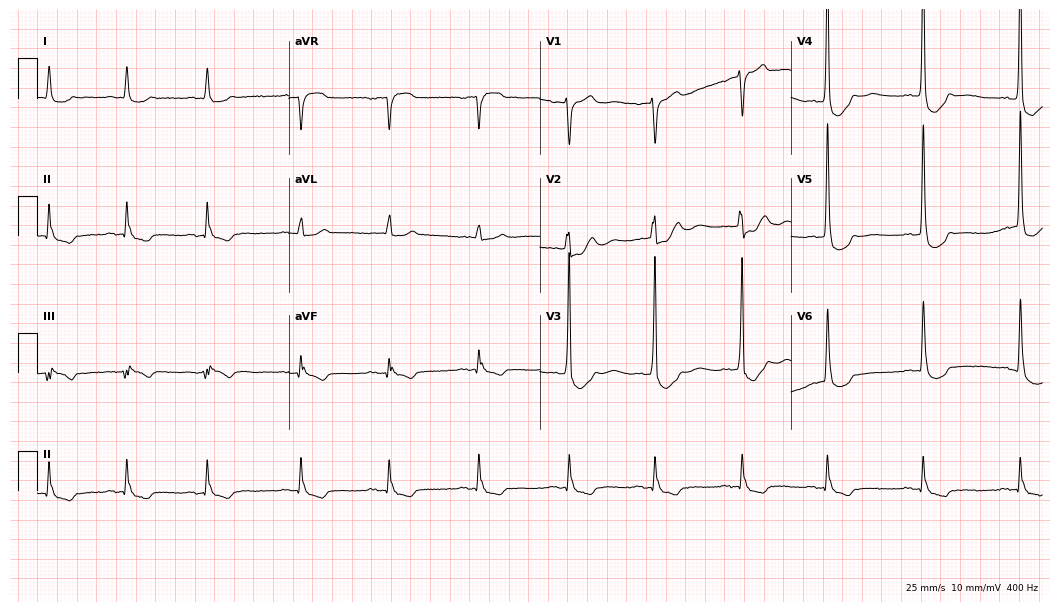
Resting 12-lead electrocardiogram (10.2-second recording at 400 Hz). Patient: an 82-year-old female. None of these six findings is recorded: first-degree AV block, right bundle branch block, left bundle branch block, sinus bradycardia, atrial fibrillation, sinus tachycardia. Only these six findings were labelled.